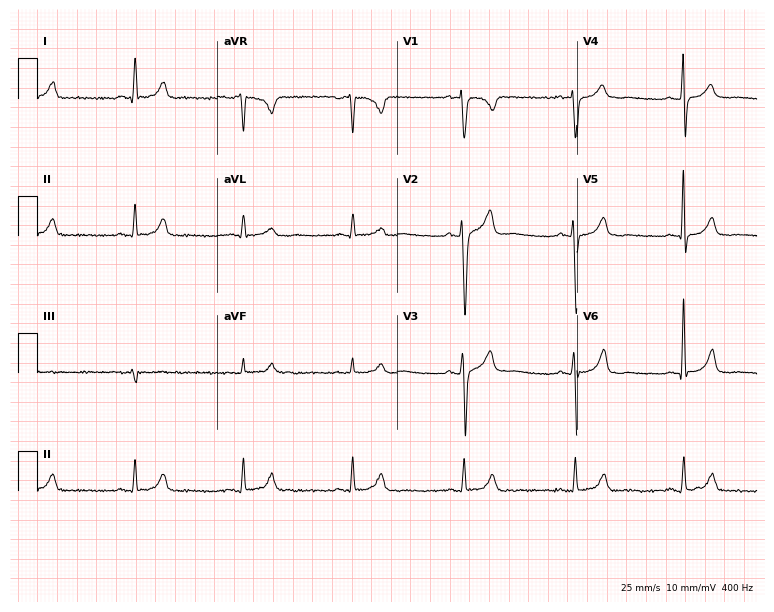
12-lead ECG (7.3-second recording at 400 Hz) from a 48-year-old male. Screened for six findings — first-degree AV block, right bundle branch block, left bundle branch block, sinus bradycardia, atrial fibrillation, sinus tachycardia — none is recorded. Only these six findings were labelled.